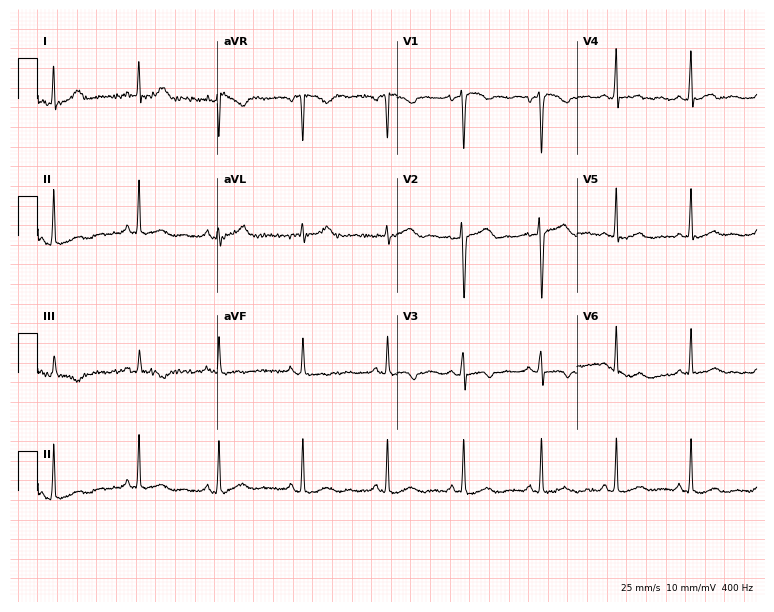
Resting 12-lead electrocardiogram (7.3-second recording at 400 Hz). Patient: a woman, 26 years old. None of these six findings is recorded: first-degree AV block, right bundle branch block, left bundle branch block, sinus bradycardia, atrial fibrillation, sinus tachycardia. Only these six findings were labelled.